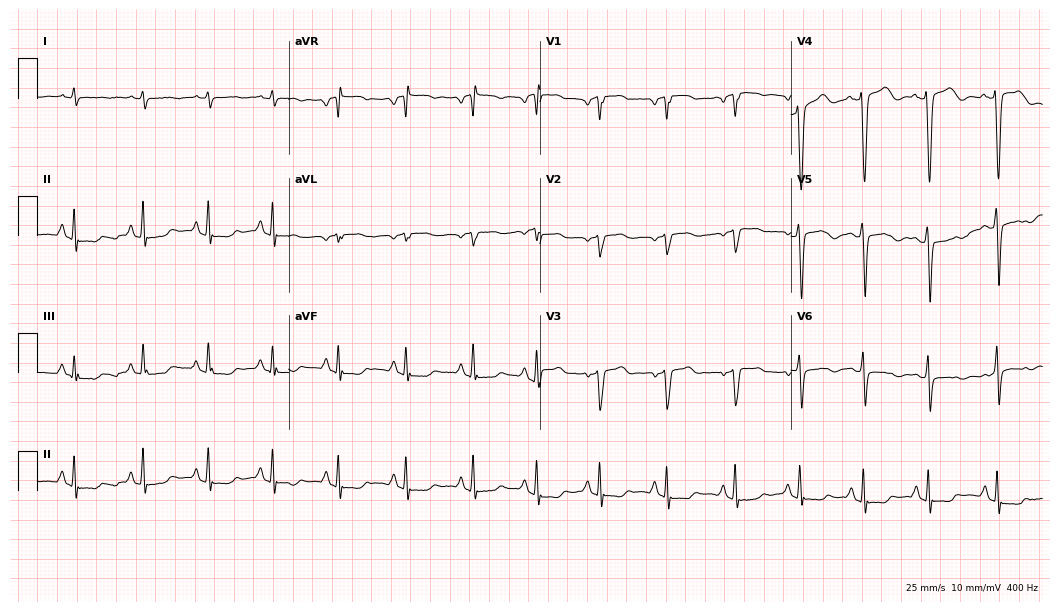
Standard 12-lead ECG recorded from a female, 49 years old. None of these six findings is recorded: first-degree AV block, right bundle branch block, left bundle branch block, sinus bradycardia, atrial fibrillation, sinus tachycardia. Other findings, if any, are not listed.